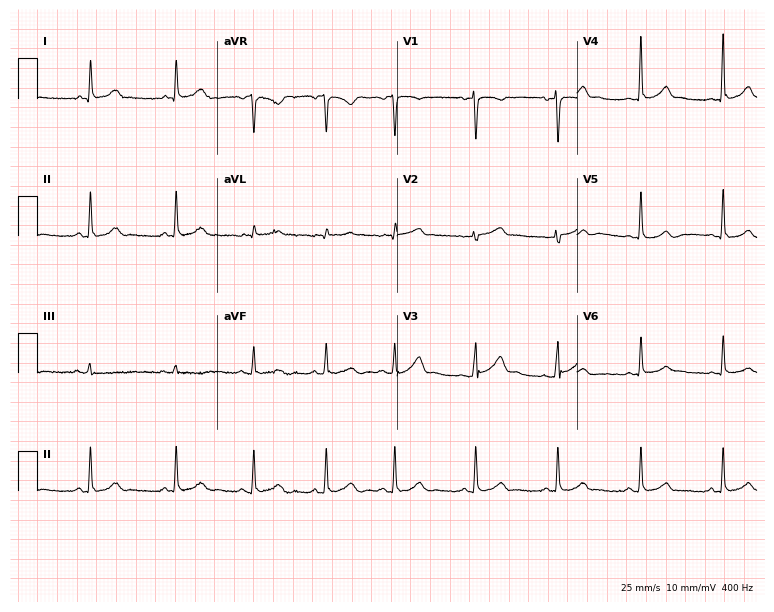
12-lead ECG from a 23-year-old female (7.3-second recording at 400 Hz). Recorded interpretation: within normal limits.